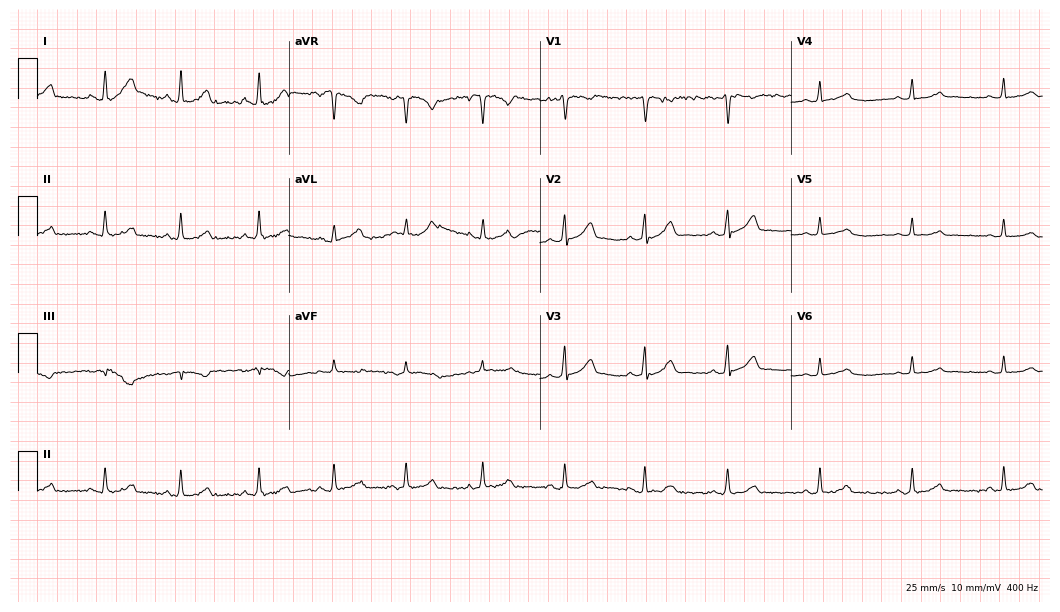
Electrocardiogram, a 38-year-old female patient. Overall reading on record: normal ECG.